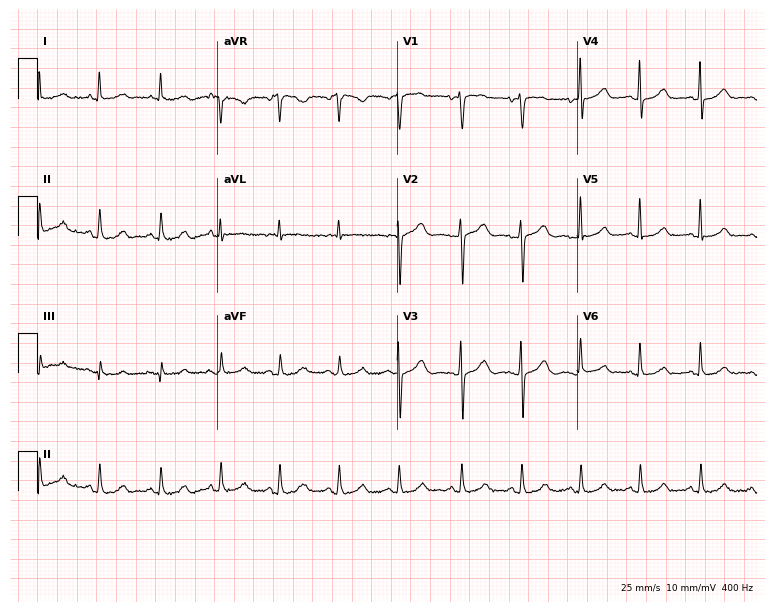
12-lead ECG from a 54-year-old female. Recorded interpretation: within normal limits.